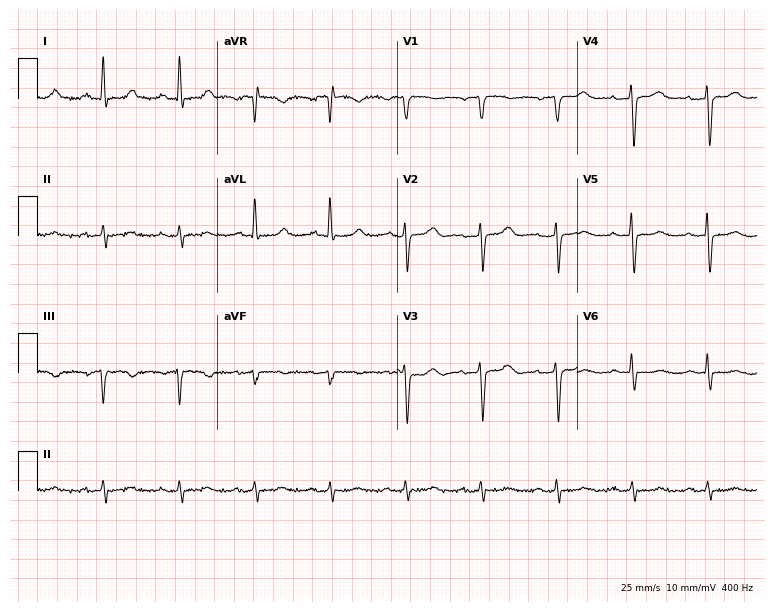
12-lead ECG from a 68-year-old female patient (7.3-second recording at 400 Hz). No first-degree AV block, right bundle branch block (RBBB), left bundle branch block (LBBB), sinus bradycardia, atrial fibrillation (AF) or sinus tachycardia recorded for this tracing. Findings outside these six are not listed.